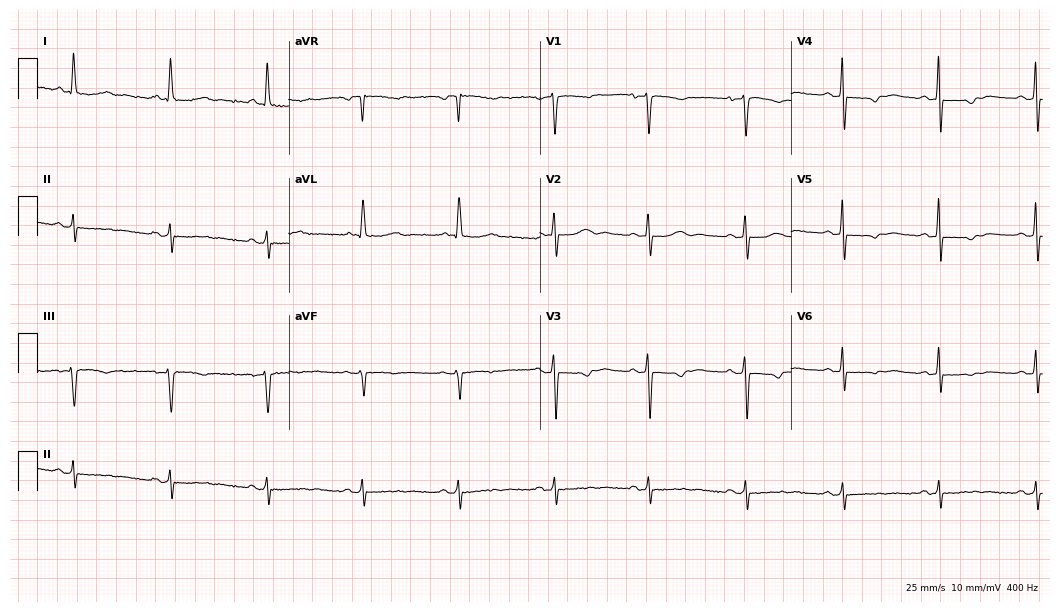
12-lead ECG (10.2-second recording at 400 Hz) from a 76-year-old woman. Screened for six findings — first-degree AV block, right bundle branch block, left bundle branch block, sinus bradycardia, atrial fibrillation, sinus tachycardia — none is recorded. Other findings, if any, are not listed.